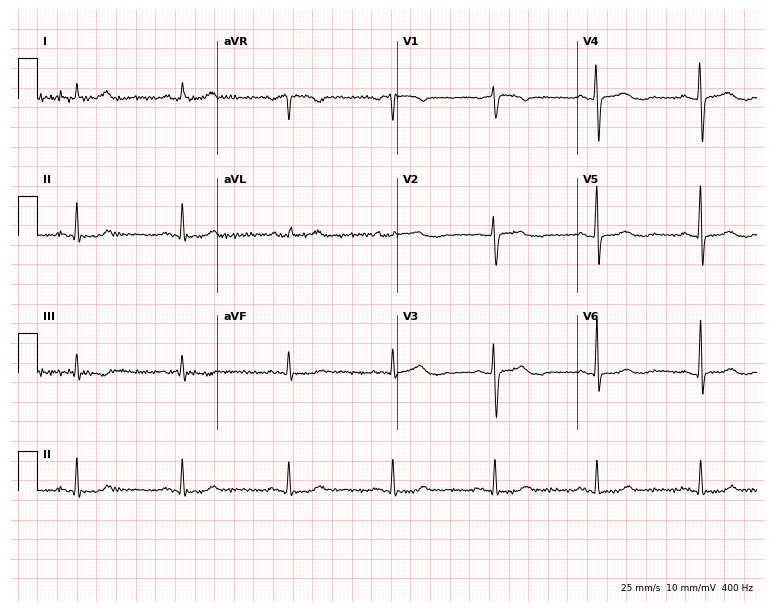
ECG — a woman, 69 years old. Labelled as a normal ECG.